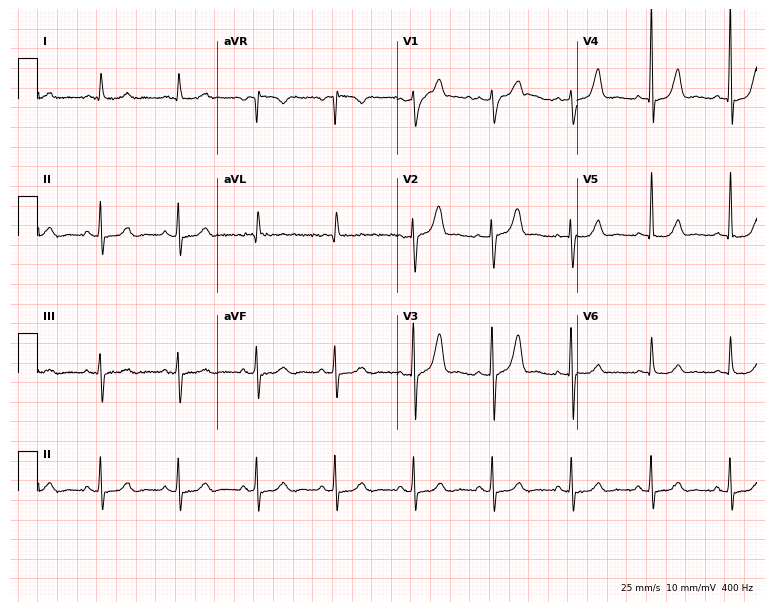
12-lead ECG from a 74-year-old male (7.3-second recording at 400 Hz). Recorded interpretation: within normal limits.